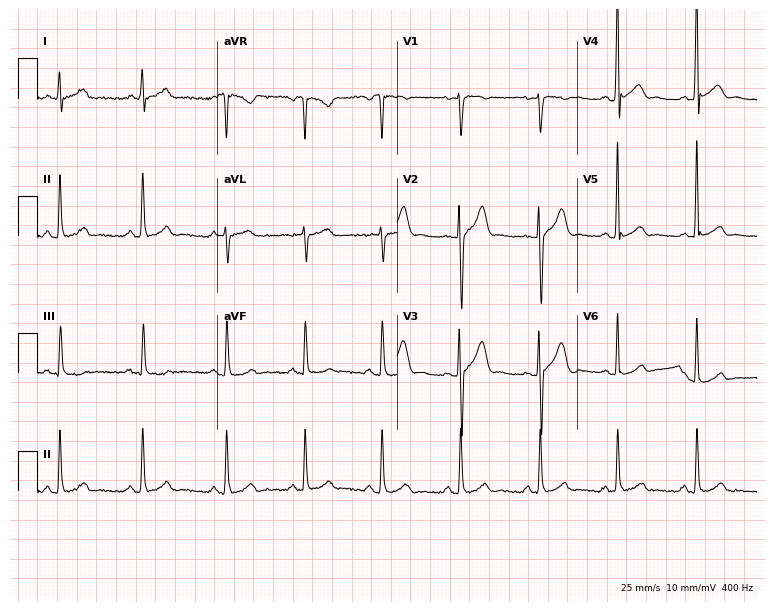
ECG (7.3-second recording at 400 Hz) — a man, 28 years old. Labelled as a normal ECG.